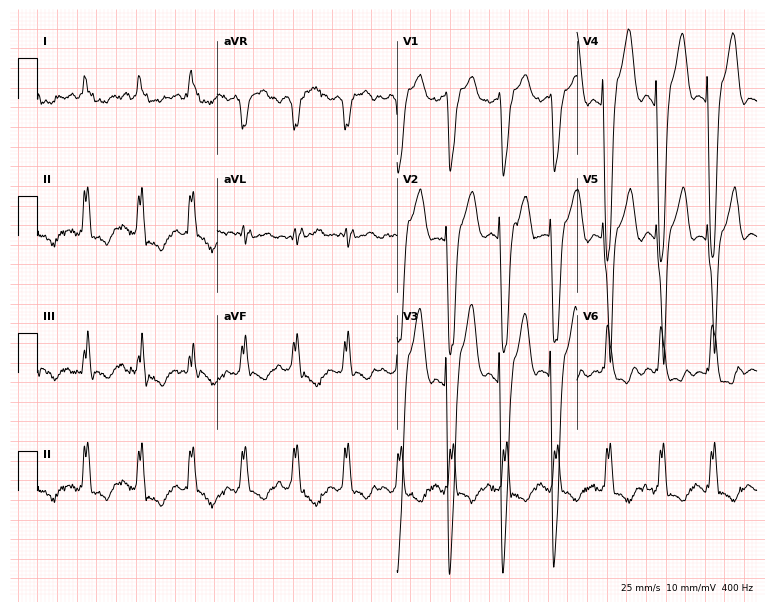
12-lead ECG from a woman, 70 years old (7.3-second recording at 400 Hz). Shows left bundle branch block, sinus tachycardia (a sinus rate of 100 beats per minute or more).